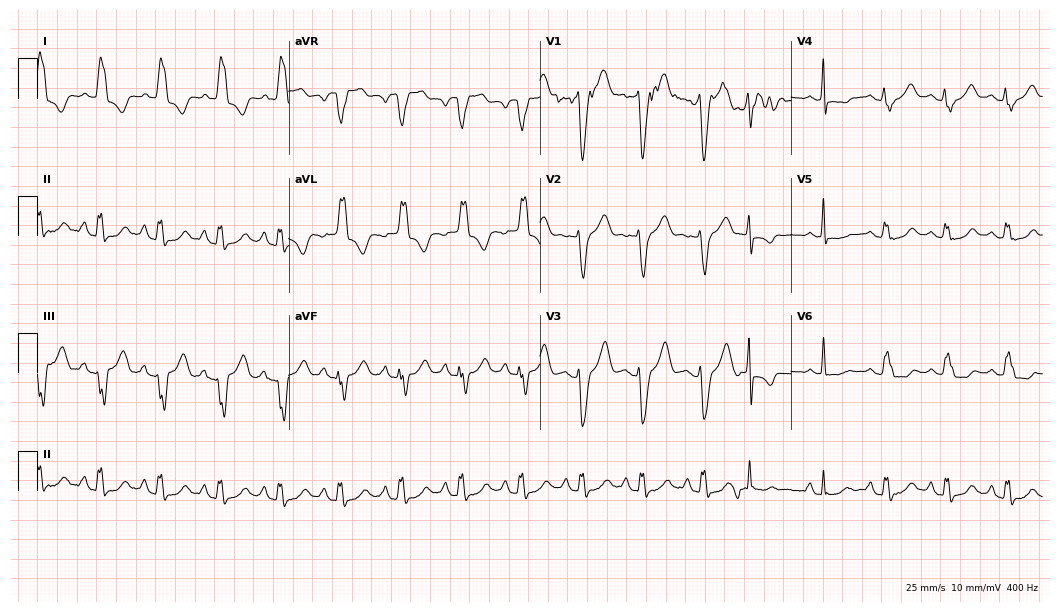
Standard 12-lead ECG recorded from a 75-year-old woman (10.2-second recording at 400 Hz). The tracing shows atrial fibrillation.